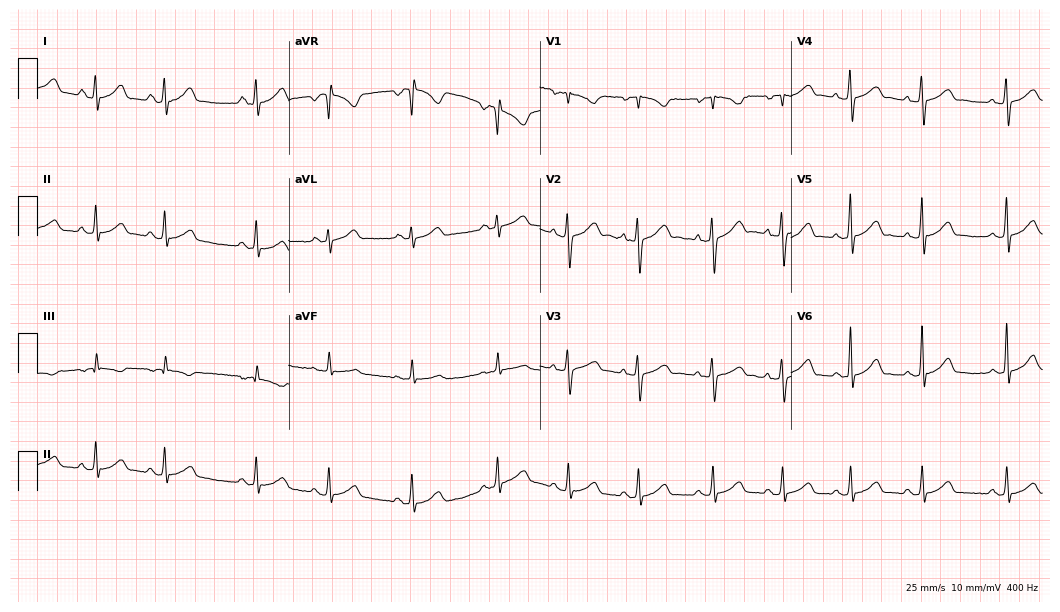
ECG (10.2-second recording at 400 Hz) — a 20-year-old female. Labelled as a normal ECG.